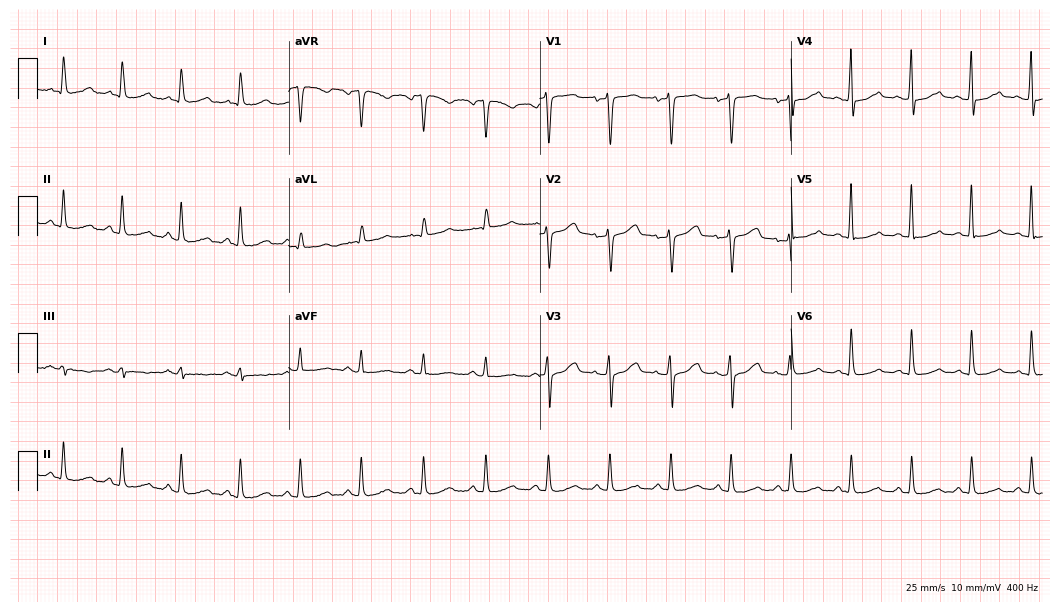
Electrocardiogram, a 59-year-old female patient. Overall reading on record: normal ECG.